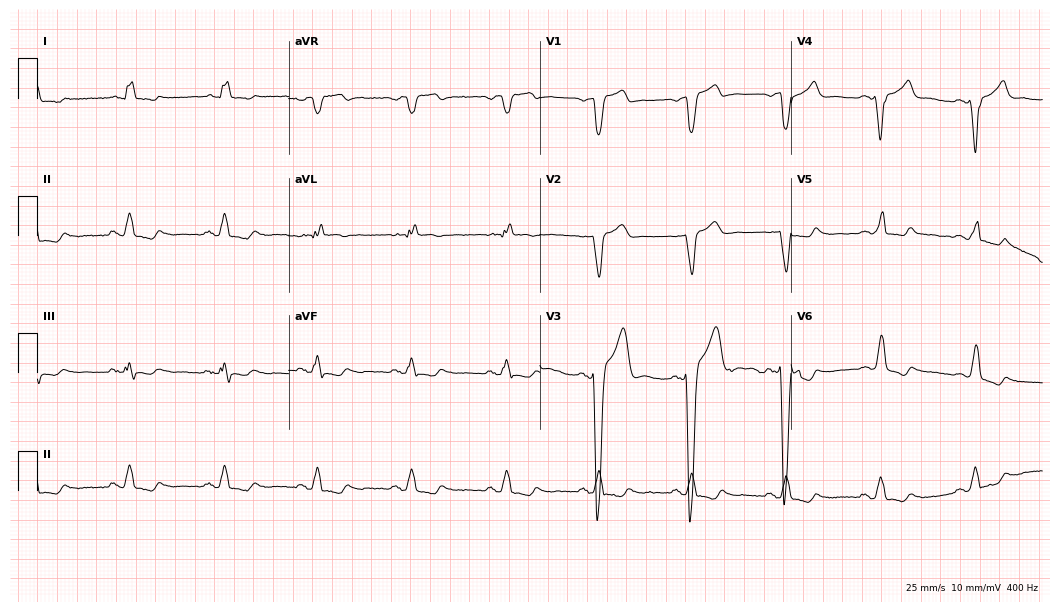
Electrocardiogram, a male patient, 66 years old. Interpretation includes left bundle branch block (LBBB).